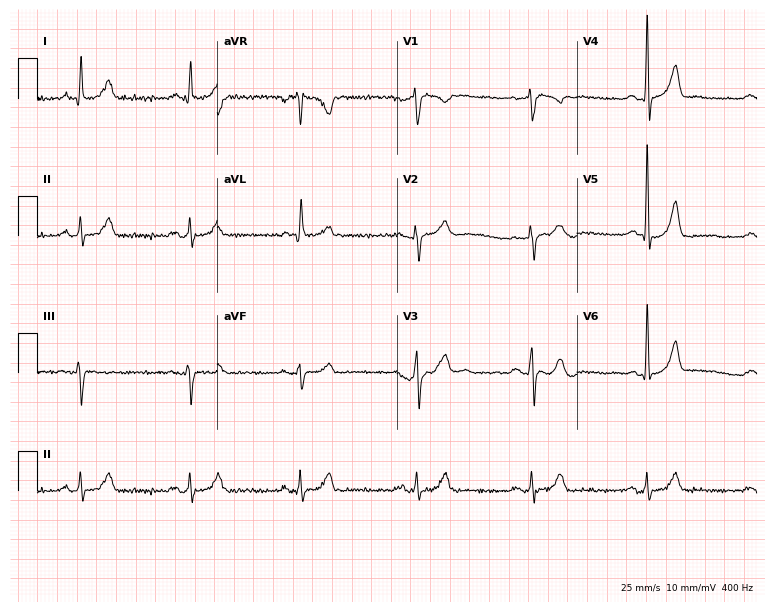
ECG (7.3-second recording at 400 Hz) — a 66-year-old male. Screened for six findings — first-degree AV block, right bundle branch block (RBBB), left bundle branch block (LBBB), sinus bradycardia, atrial fibrillation (AF), sinus tachycardia — none is recorded. Only these six findings were labelled.